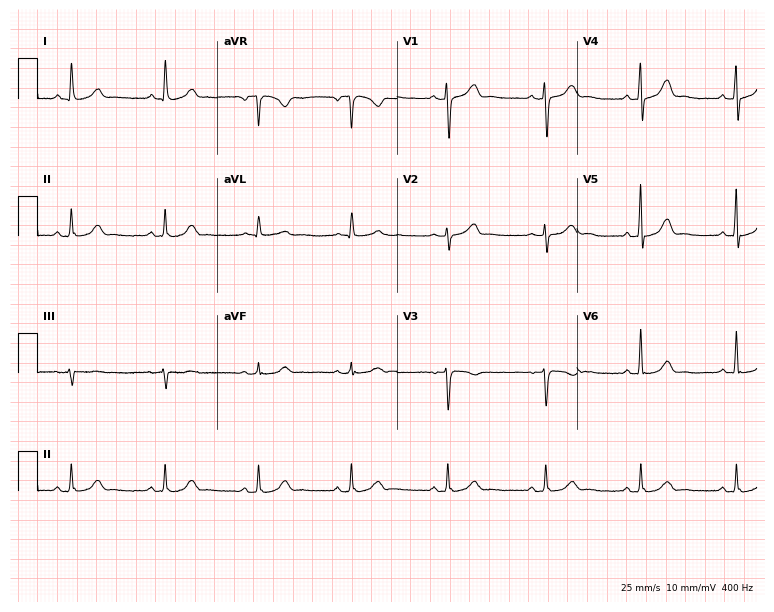
12-lead ECG (7.3-second recording at 400 Hz) from a 48-year-old male. Labelled as a normal ECG.